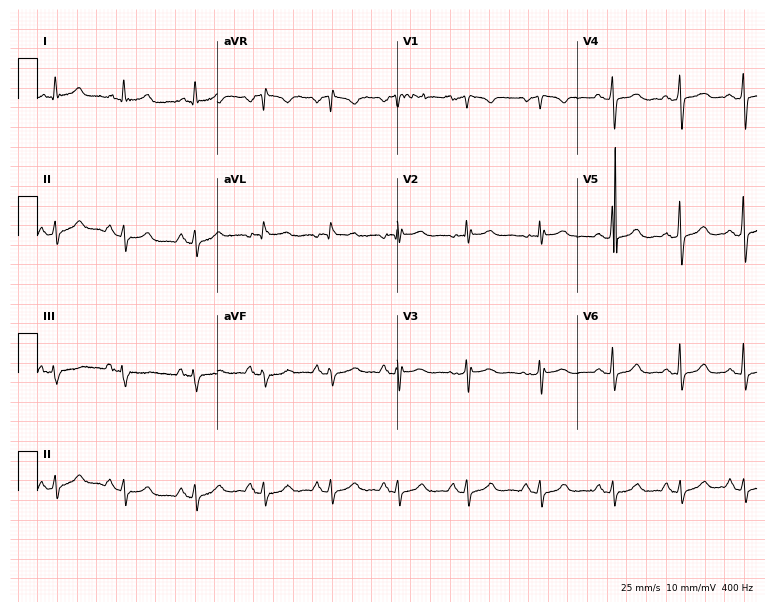
12-lead ECG from a 65-year-old woman. Screened for six findings — first-degree AV block, right bundle branch block, left bundle branch block, sinus bradycardia, atrial fibrillation, sinus tachycardia — none is recorded. Only these six findings were labelled.